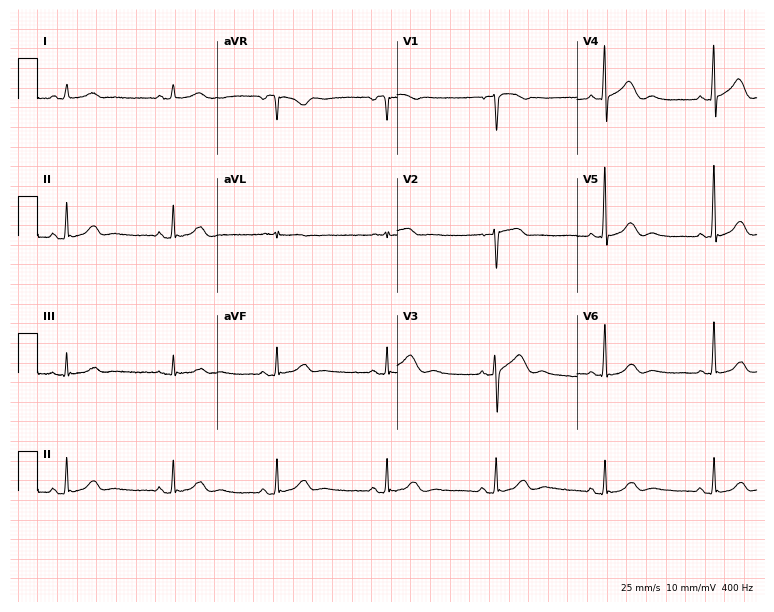
ECG — a female, 73 years old. Screened for six findings — first-degree AV block, right bundle branch block, left bundle branch block, sinus bradycardia, atrial fibrillation, sinus tachycardia — none is recorded.